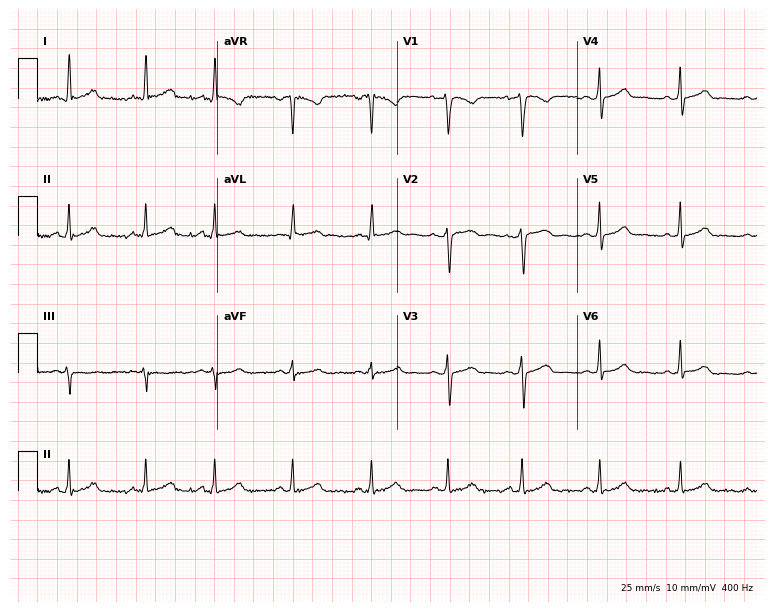
12-lead ECG from a female patient, 33 years old (7.3-second recording at 400 Hz). Recorded interpretation: within normal limits.